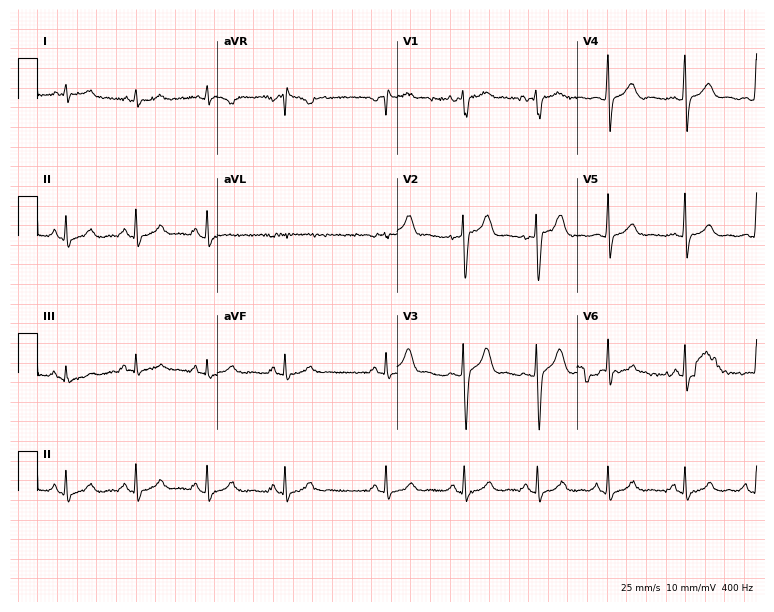
Electrocardiogram, a 22-year-old man. Overall reading on record: normal ECG.